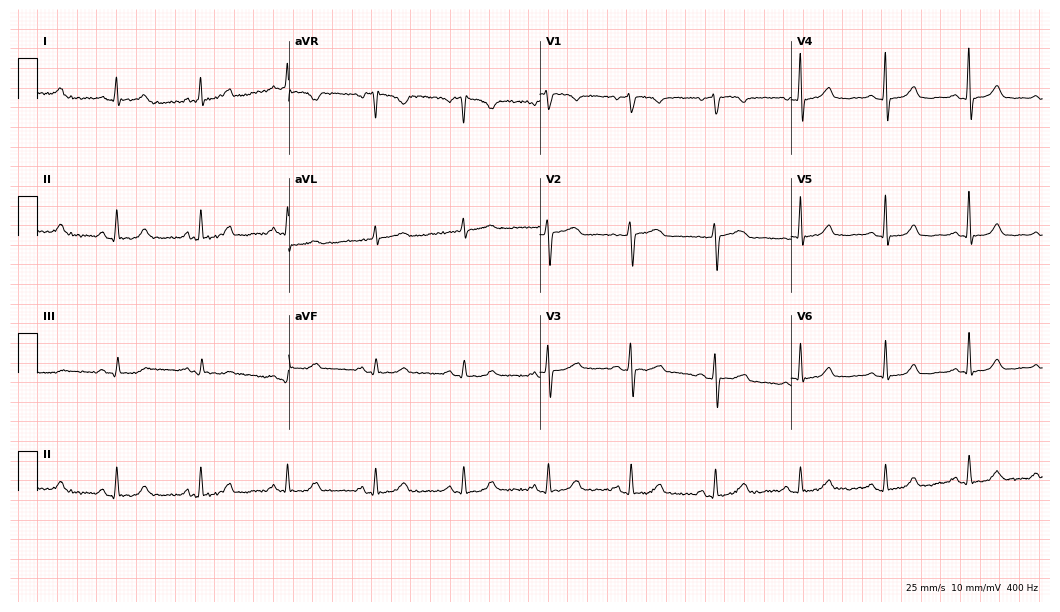
Resting 12-lead electrocardiogram (10.2-second recording at 400 Hz). Patient: a 72-year-old woman. Read as a normal ECG.